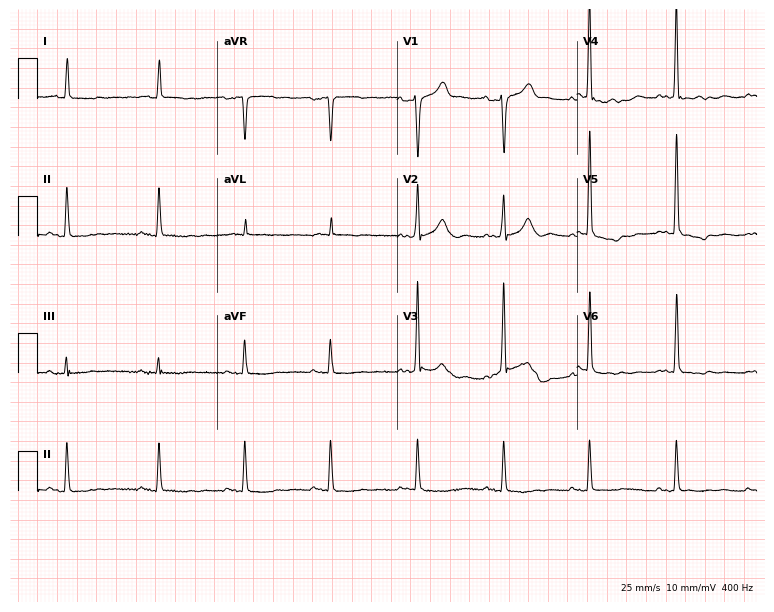
Resting 12-lead electrocardiogram. Patient: a male, 84 years old. None of these six findings is recorded: first-degree AV block, right bundle branch block, left bundle branch block, sinus bradycardia, atrial fibrillation, sinus tachycardia.